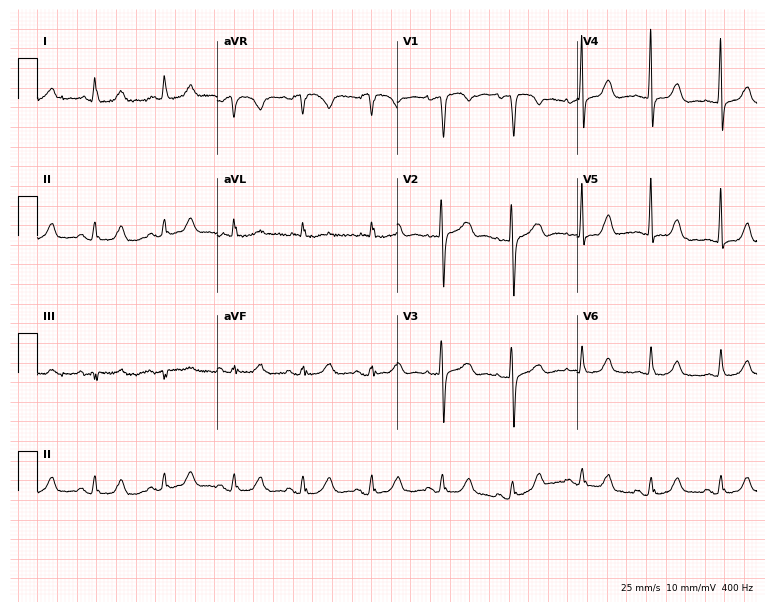
Electrocardiogram, a woman, 68 years old. Of the six screened findings (first-degree AV block, right bundle branch block (RBBB), left bundle branch block (LBBB), sinus bradycardia, atrial fibrillation (AF), sinus tachycardia), none is recorded.